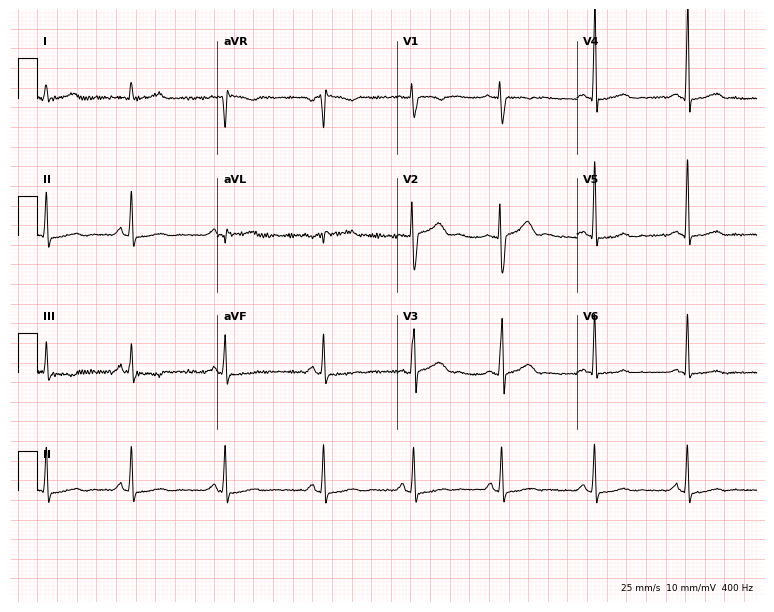
Resting 12-lead electrocardiogram (7.3-second recording at 400 Hz). Patient: a woman, 36 years old. None of these six findings is recorded: first-degree AV block, right bundle branch block, left bundle branch block, sinus bradycardia, atrial fibrillation, sinus tachycardia.